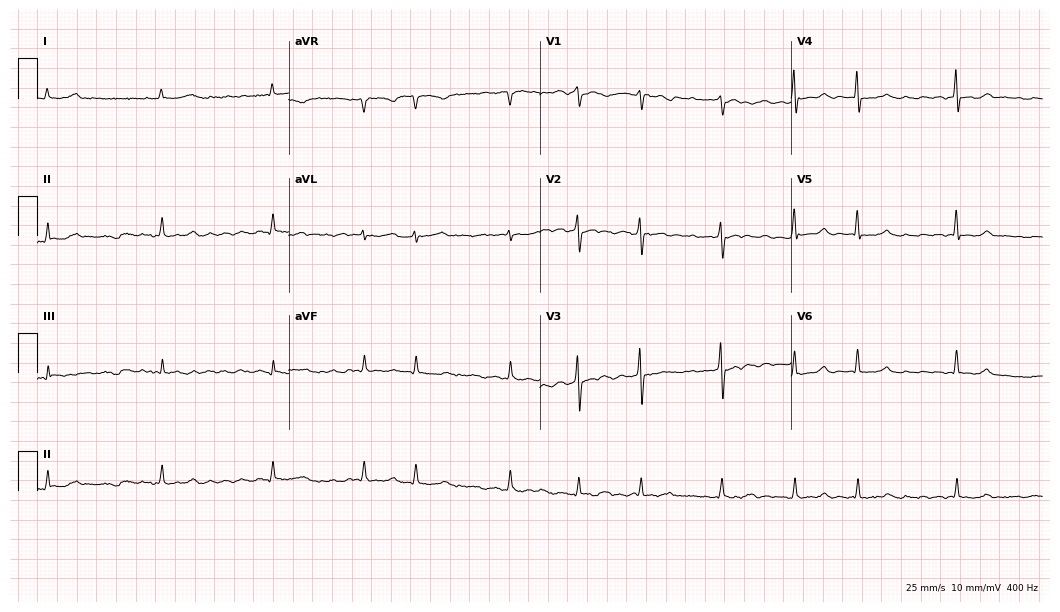
12-lead ECG from an 82-year-old female patient. No first-degree AV block, right bundle branch block (RBBB), left bundle branch block (LBBB), sinus bradycardia, atrial fibrillation (AF) or sinus tachycardia recorded for this tracing. Only these six findings were labelled.